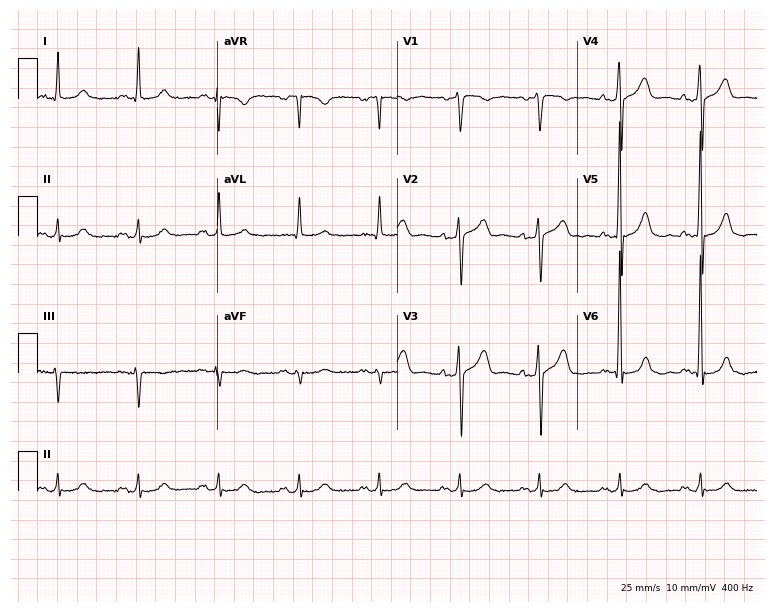
12-lead ECG from a male, 68 years old. Screened for six findings — first-degree AV block, right bundle branch block, left bundle branch block, sinus bradycardia, atrial fibrillation, sinus tachycardia — none is recorded. Only these six findings were labelled.